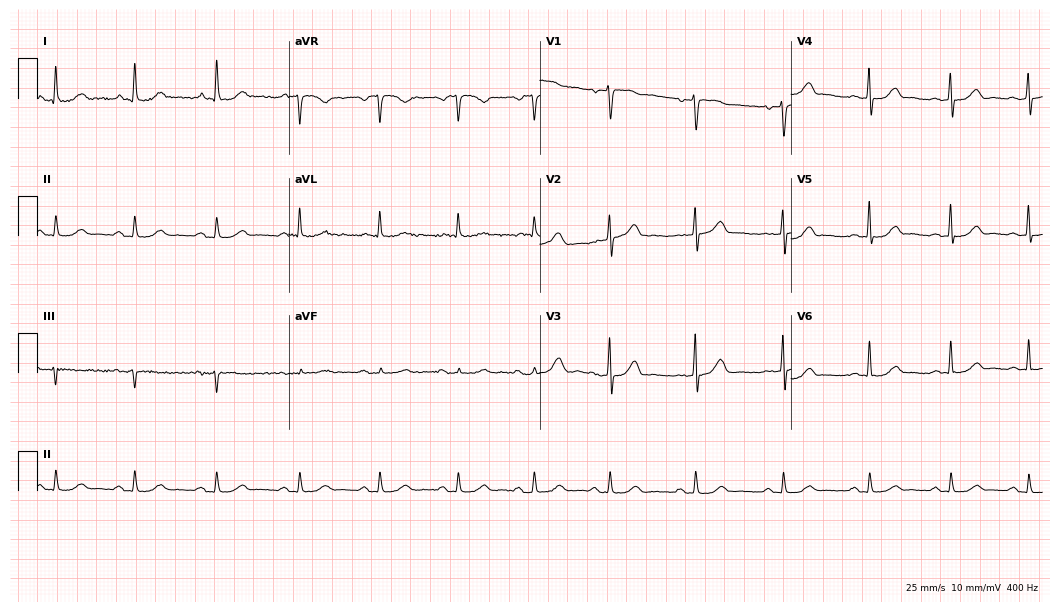
12-lead ECG from a 60-year-old female patient (10.2-second recording at 400 Hz). Recorded interpretation: within normal limits.